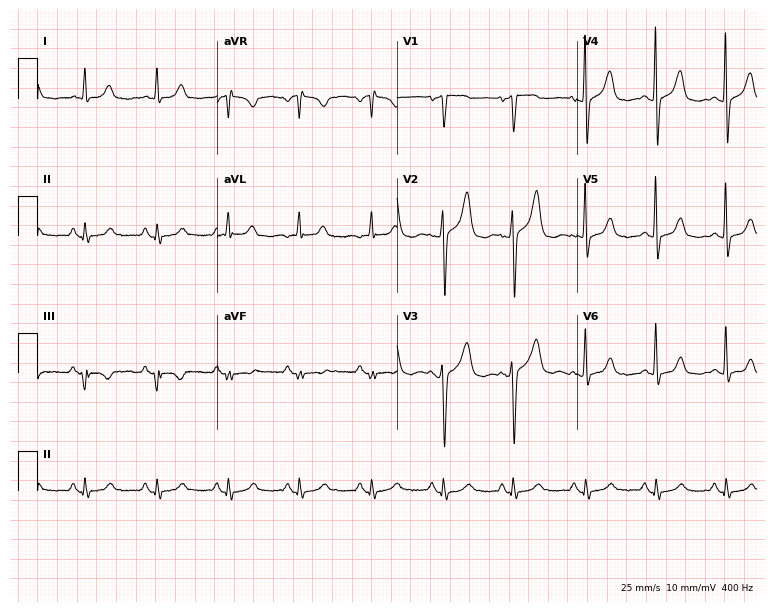
12-lead ECG from a woman, 70 years old (7.3-second recording at 400 Hz). Recorded interpretation: within normal limits.